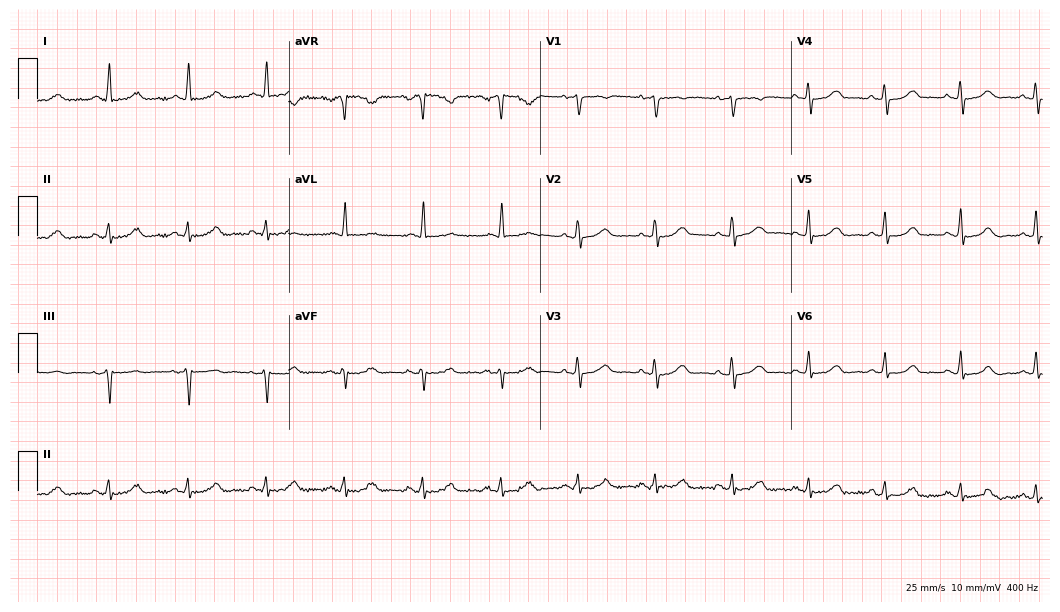
Resting 12-lead electrocardiogram. Patient: a female, 58 years old. None of these six findings is recorded: first-degree AV block, right bundle branch block, left bundle branch block, sinus bradycardia, atrial fibrillation, sinus tachycardia.